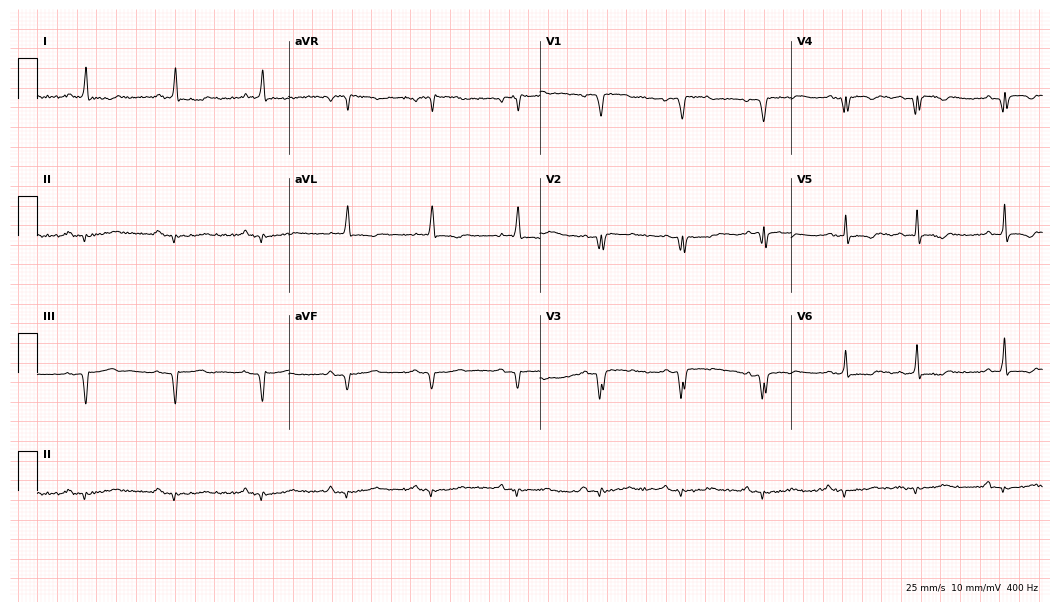
Resting 12-lead electrocardiogram (10.2-second recording at 400 Hz). Patient: a male, 82 years old. None of these six findings is recorded: first-degree AV block, right bundle branch block, left bundle branch block, sinus bradycardia, atrial fibrillation, sinus tachycardia.